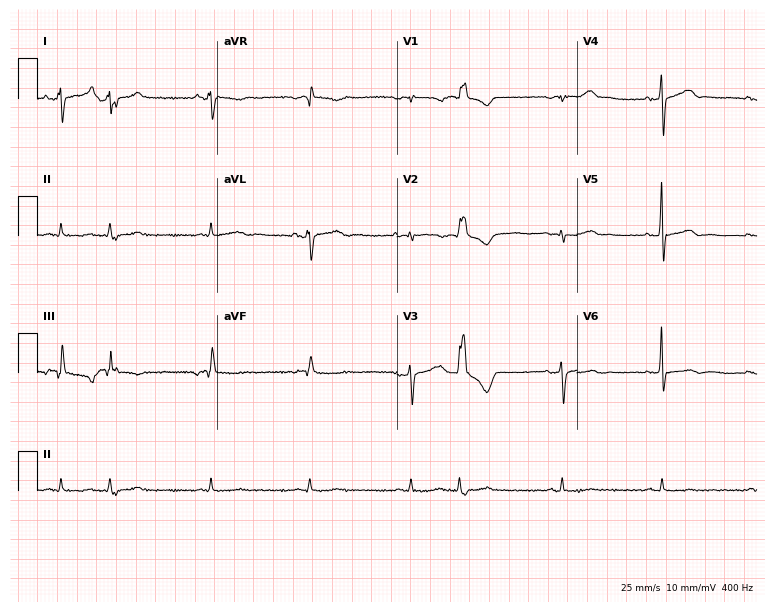
Standard 12-lead ECG recorded from an 84-year-old female patient. Read as a normal ECG.